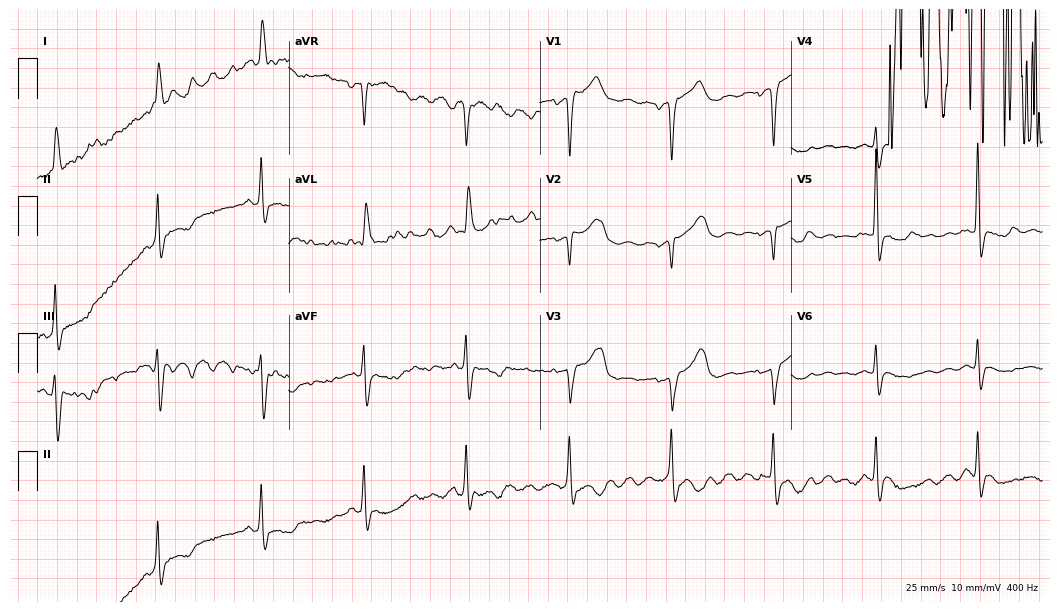
Resting 12-lead electrocardiogram (10.2-second recording at 400 Hz). Patient: an 82-year-old man. None of these six findings is recorded: first-degree AV block, right bundle branch block, left bundle branch block, sinus bradycardia, atrial fibrillation, sinus tachycardia.